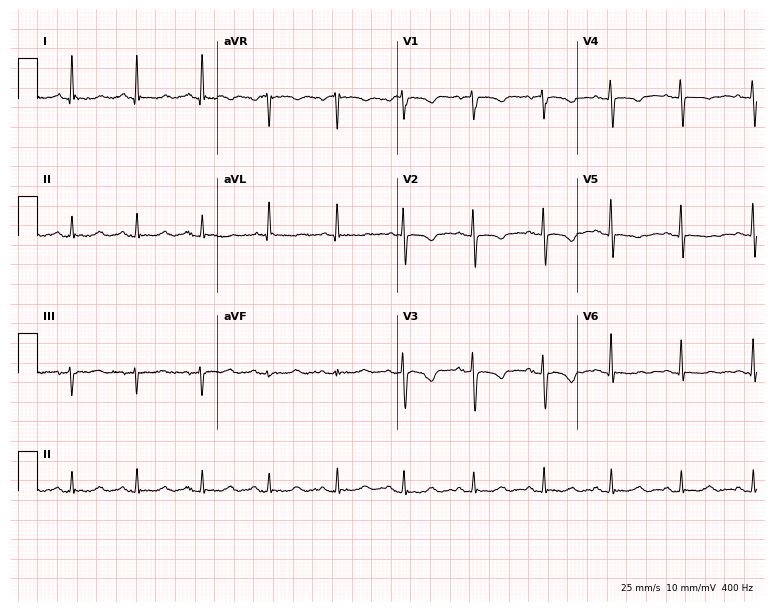
Standard 12-lead ECG recorded from a 62-year-old female. None of these six findings is recorded: first-degree AV block, right bundle branch block, left bundle branch block, sinus bradycardia, atrial fibrillation, sinus tachycardia. Findings outside these six are not listed.